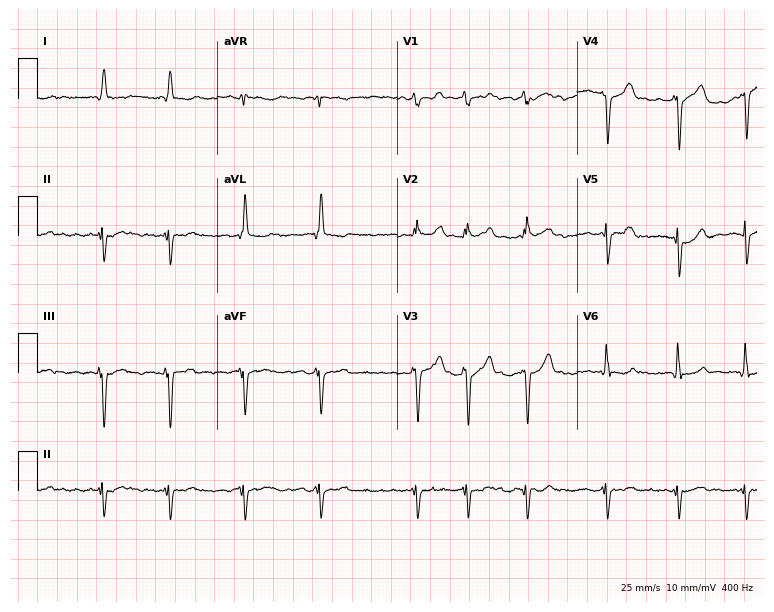
Standard 12-lead ECG recorded from a man, 83 years old (7.3-second recording at 400 Hz). The tracing shows atrial fibrillation (AF).